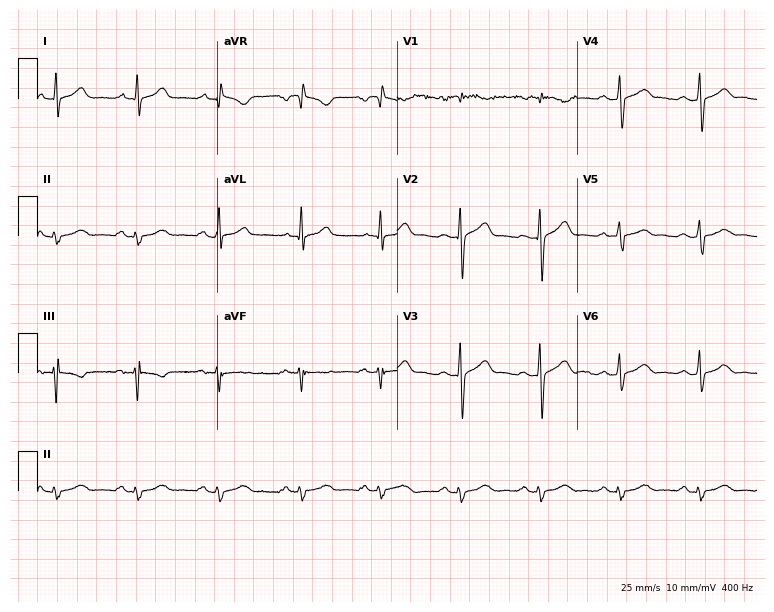
12-lead ECG from a 49-year-old male (7.3-second recording at 400 Hz). No first-degree AV block, right bundle branch block, left bundle branch block, sinus bradycardia, atrial fibrillation or sinus tachycardia recorded for this tracing.